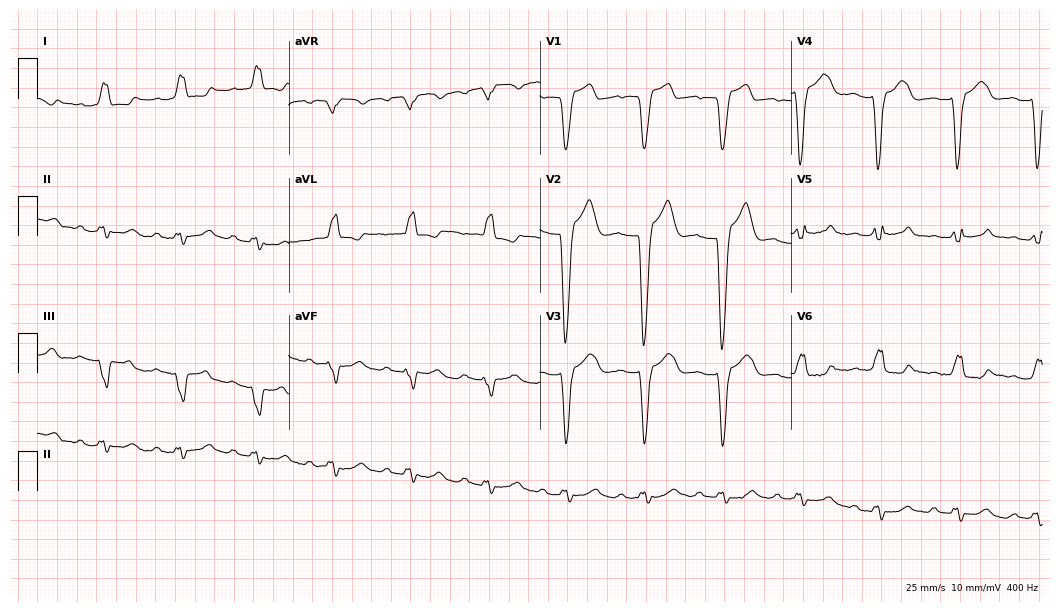
12-lead ECG from a 63-year-old male patient. Shows first-degree AV block, left bundle branch block.